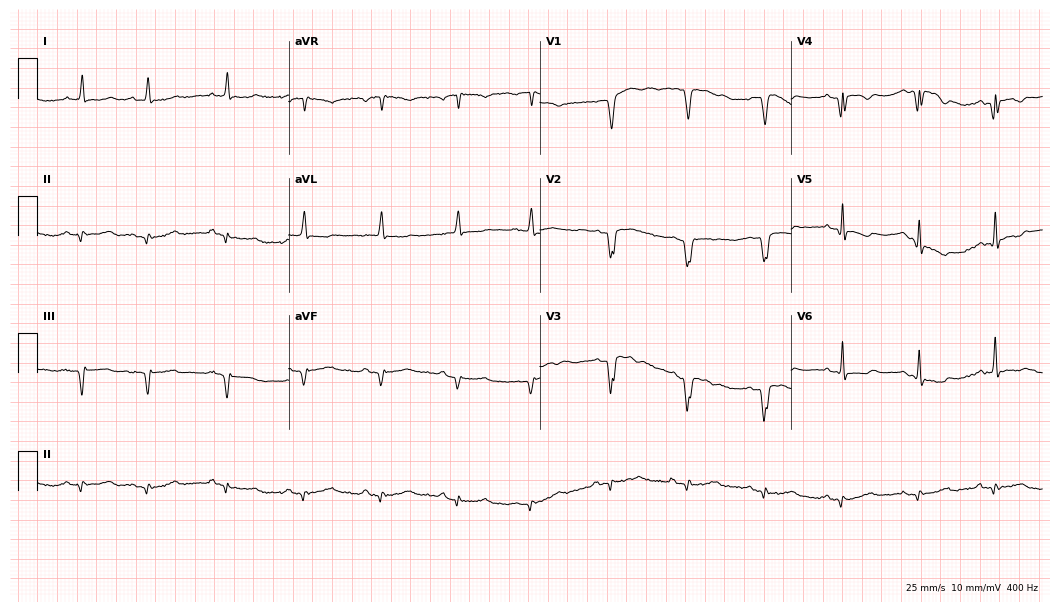
12-lead ECG from an 83-year-old male patient. Screened for six findings — first-degree AV block, right bundle branch block (RBBB), left bundle branch block (LBBB), sinus bradycardia, atrial fibrillation (AF), sinus tachycardia — none is recorded.